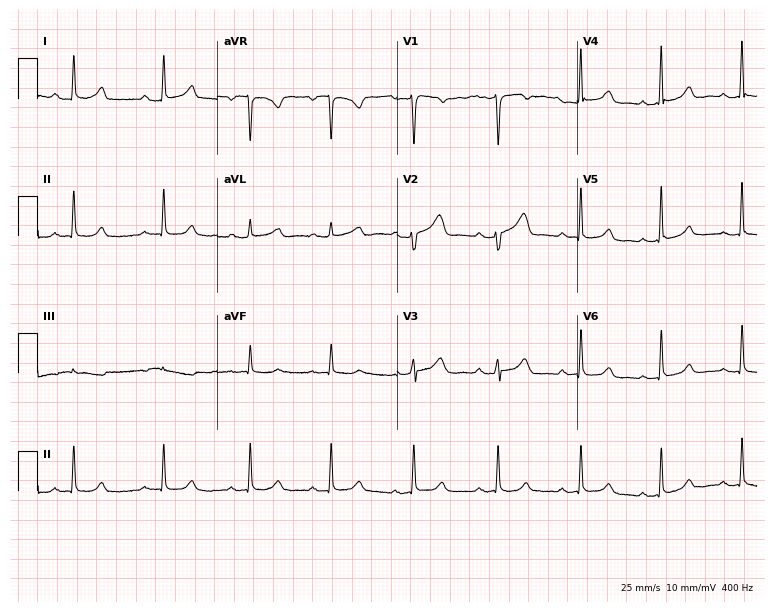
12-lead ECG from a female, 42 years old. Recorded interpretation: within normal limits.